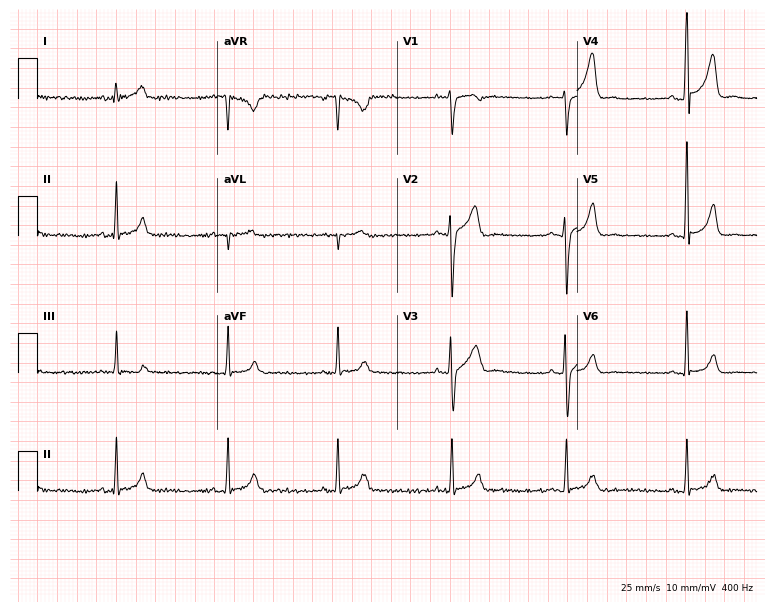
Standard 12-lead ECG recorded from a male, 23 years old. Read as a normal ECG.